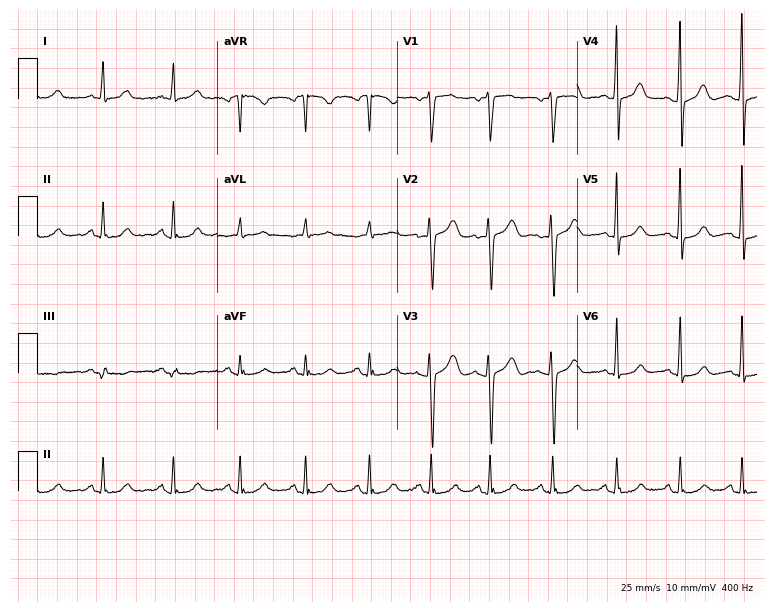
Resting 12-lead electrocardiogram. Patient: a female, 59 years old. Read as a normal ECG.